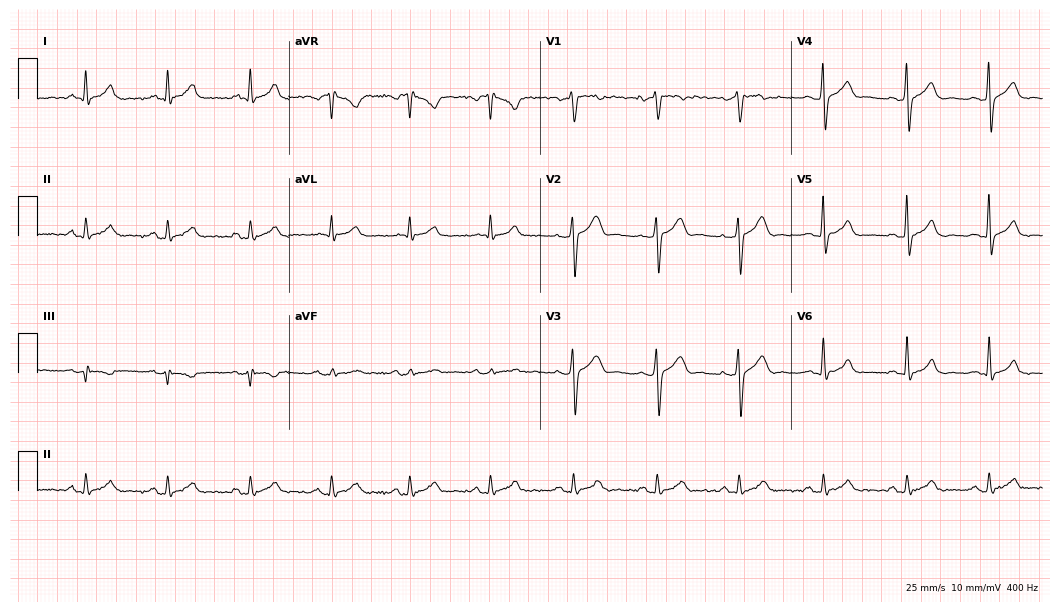
ECG — a 45-year-old male. Screened for six findings — first-degree AV block, right bundle branch block, left bundle branch block, sinus bradycardia, atrial fibrillation, sinus tachycardia — none is recorded.